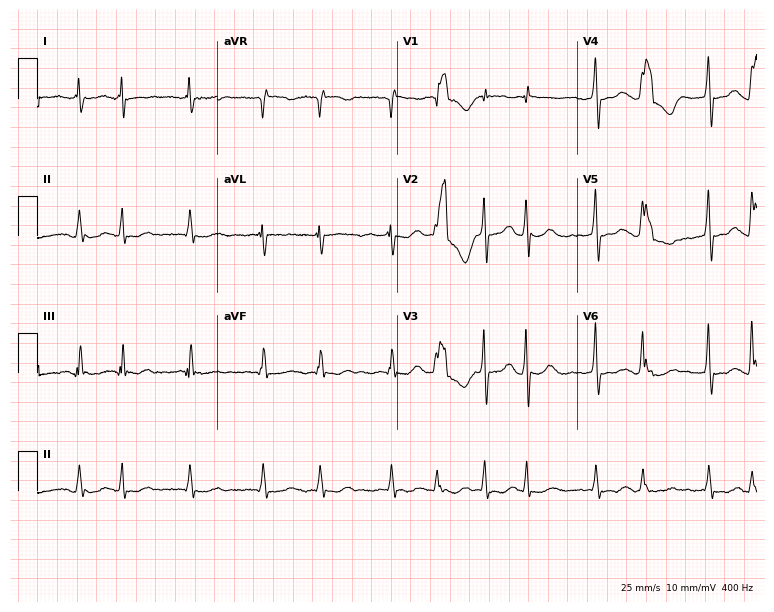
12-lead ECG from a female, 49 years old. Findings include atrial fibrillation.